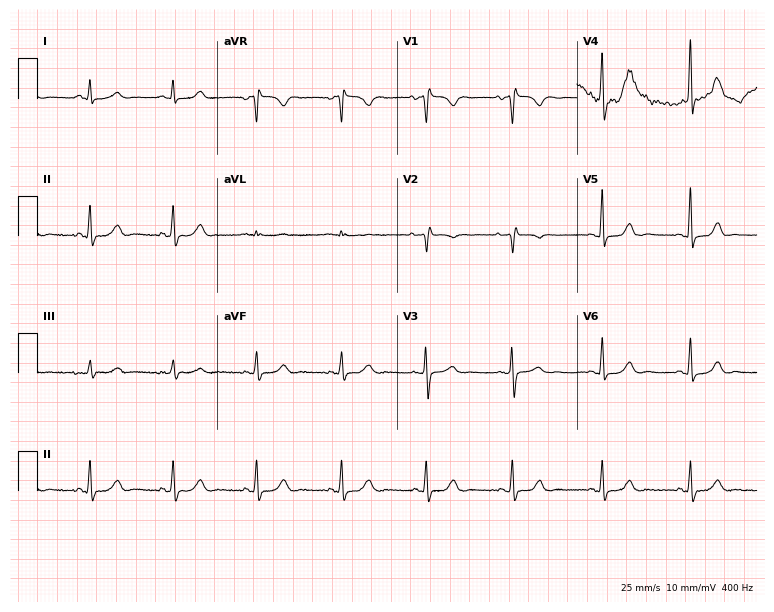
Electrocardiogram, a 42-year-old woman. Of the six screened findings (first-degree AV block, right bundle branch block, left bundle branch block, sinus bradycardia, atrial fibrillation, sinus tachycardia), none is recorded.